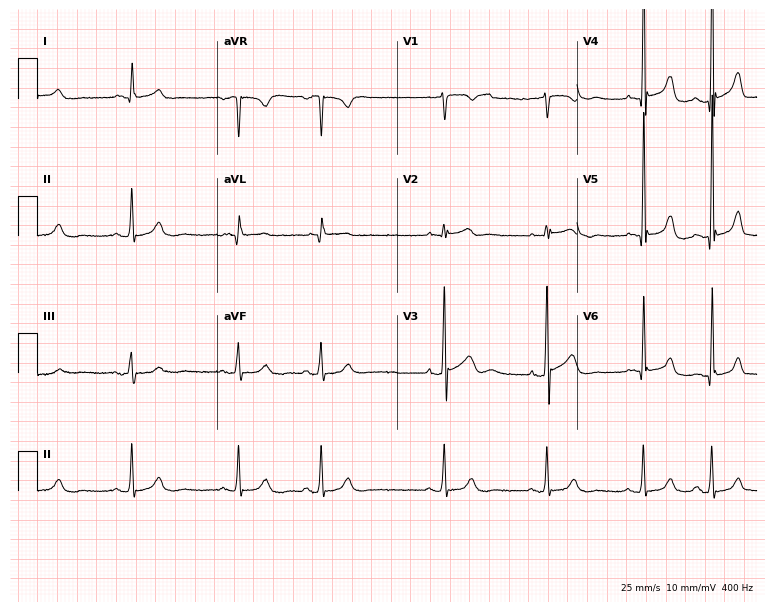
Resting 12-lead electrocardiogram. Patient: a 69-year-old male. None of these six findings is recorded: first-degree AV block, right bundle branch block, left bundle branch block, sinus bradycardia, atrial fibrillation, sinus tachycardia. Other findings, if any, are not listed.